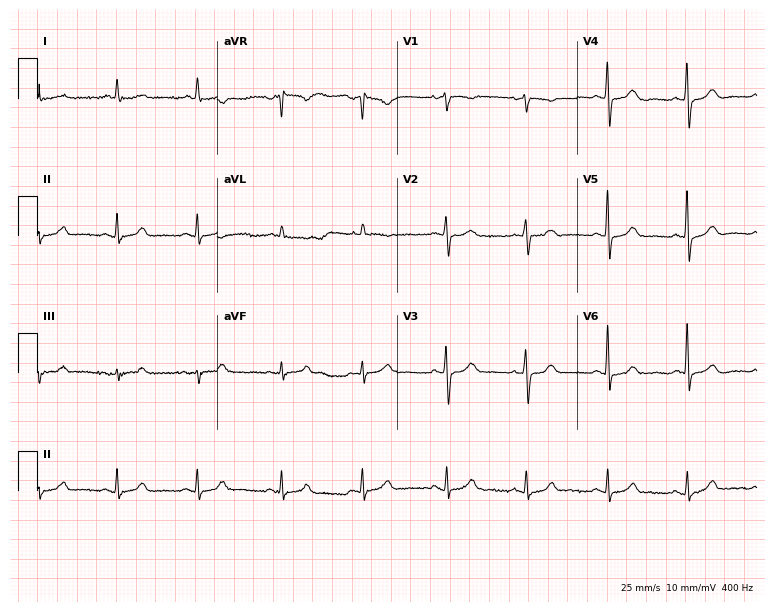
Standard 12-lead ECG recorded from a woman, 64 years old. Read as a normal ECG.